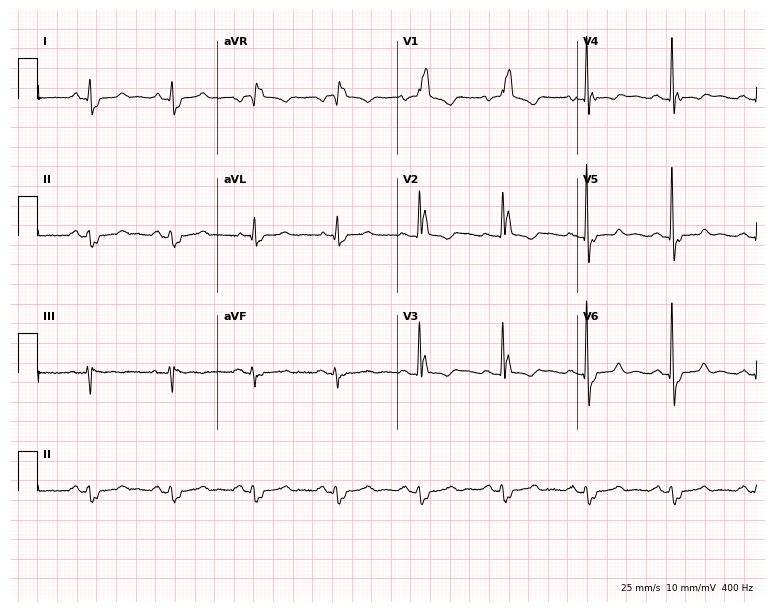
12-lead ECG from a 59-year-old woman. Findings include right bundle branch block.